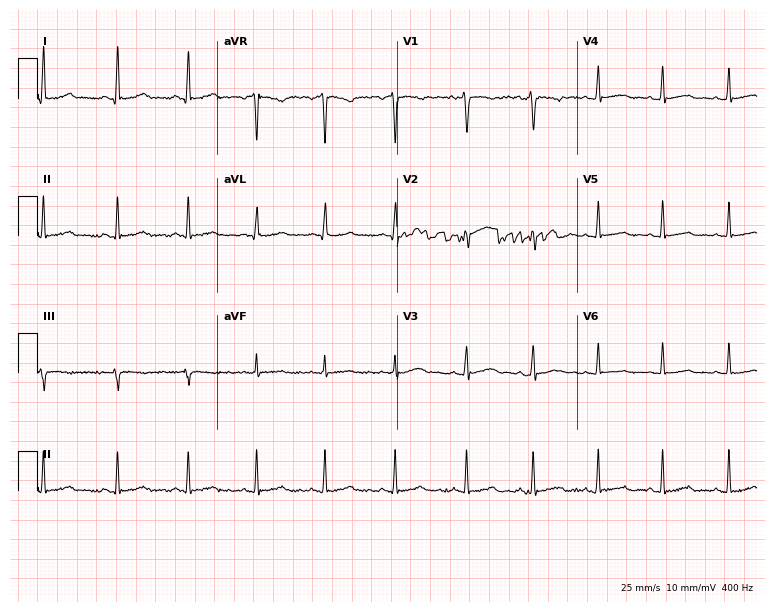
12-lead ECG from a woman, 21 years old. Labelled as a normal ECG.